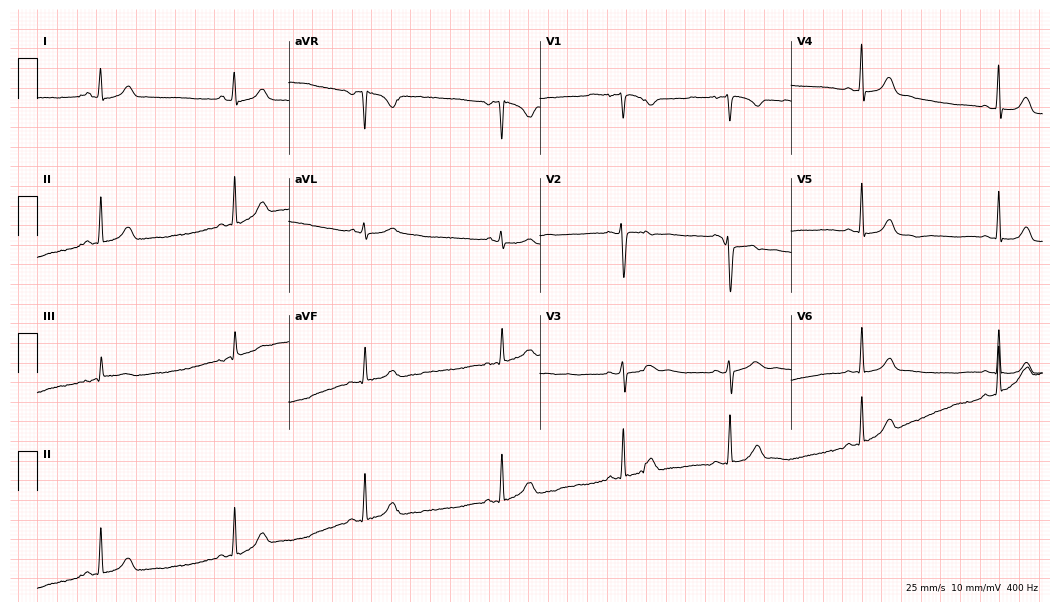
12-lead ECG (10.2-second recording at 400 Hz) from a female patient, 20 years old. Labelled as a normal ECG.